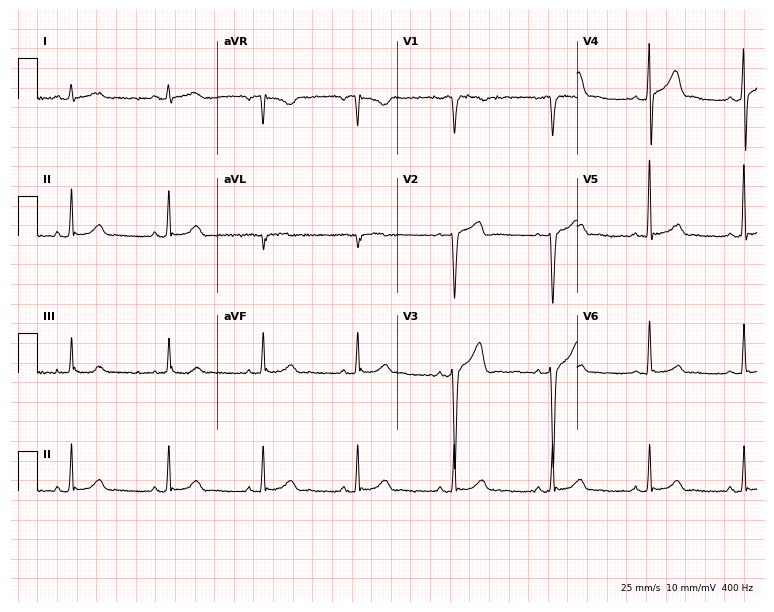
Resting 12-lead electrocardiogram. Patient: a male, 42 years old. Read as a normal ECG.